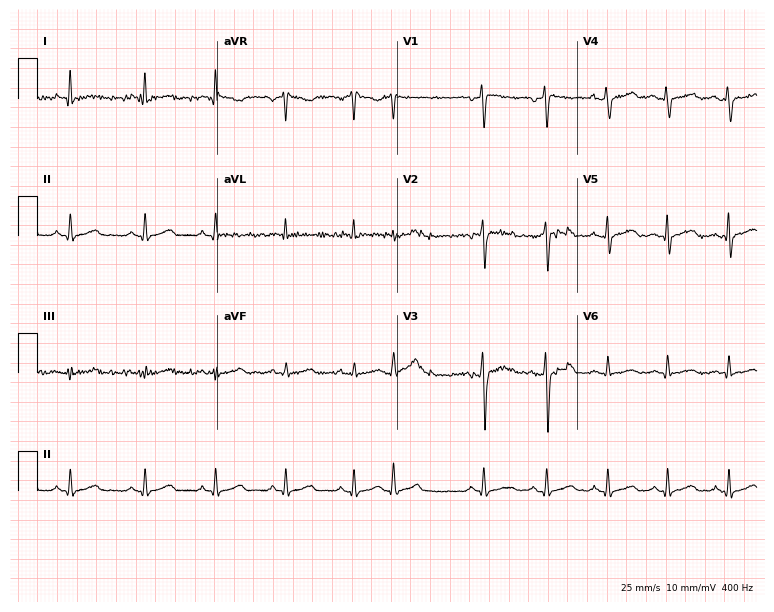
Standard 12-lead ECG recorded from a man, 38 years old (7.3-second recording at 400 Hz). None of these six findings is recorded: first-degree AV block, right bundle branch block, left bundle branch block, sinus bradycardia, atrial fibrillation, sinus tachycardia. Findings outside these six are not listed.